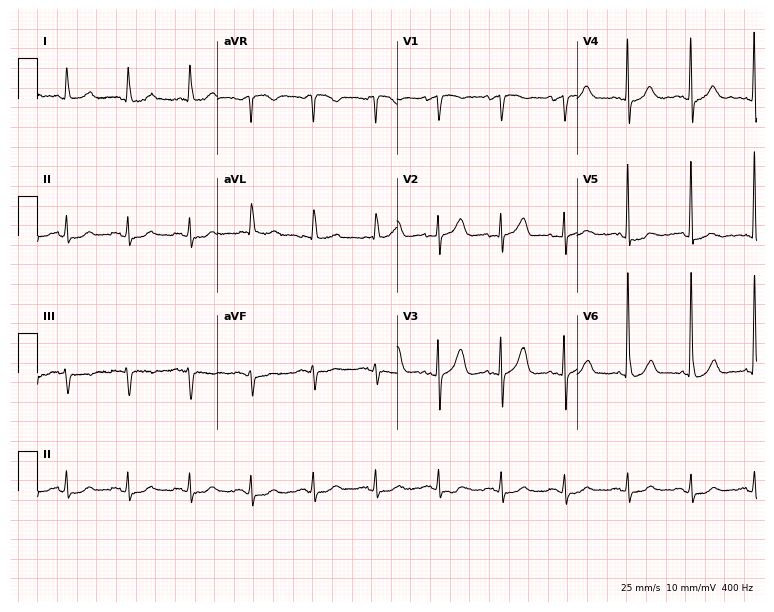
Standard 12-lead ECG recorded from a 79-year-old female patient. None of these six findings is recorded: first-degree AV block, right bundle branch block, left bundle branch block, sinus bradycardia, atrial fibrillation, sinus tachycardia.